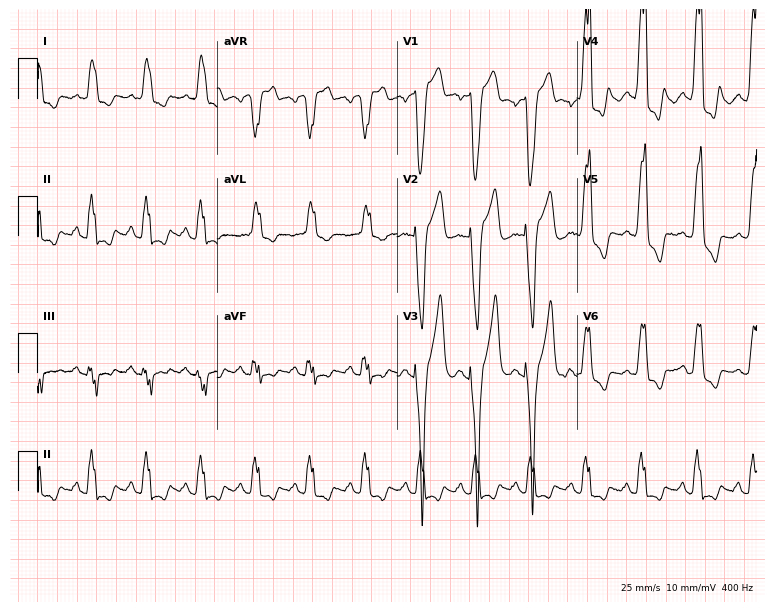
Standard 12-lead ECG recorded from a 78-year-old male. The tracing shows left bundle branch block (LBBB), sinus tachycardia (a sinus rate of 100 beats per minute or more).